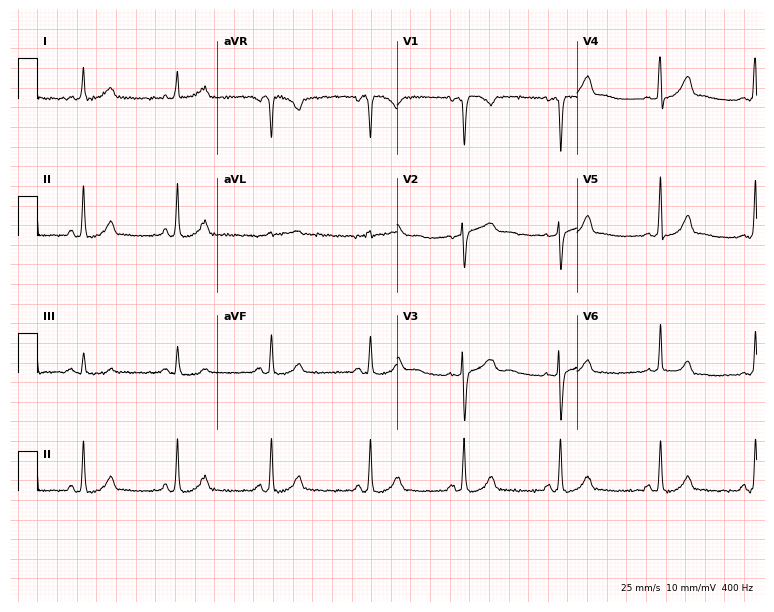
Electrocardiogram (7.3-second recording at 400 Hz), a woman, 41 years old. Of the six screened findings (first-degree AV block, right bundle branch block, left bundle branch block, sinus bradycardia, atrial fibrillation, sinus tachycardia), none is recorded. Other findings, if any, are not listed.